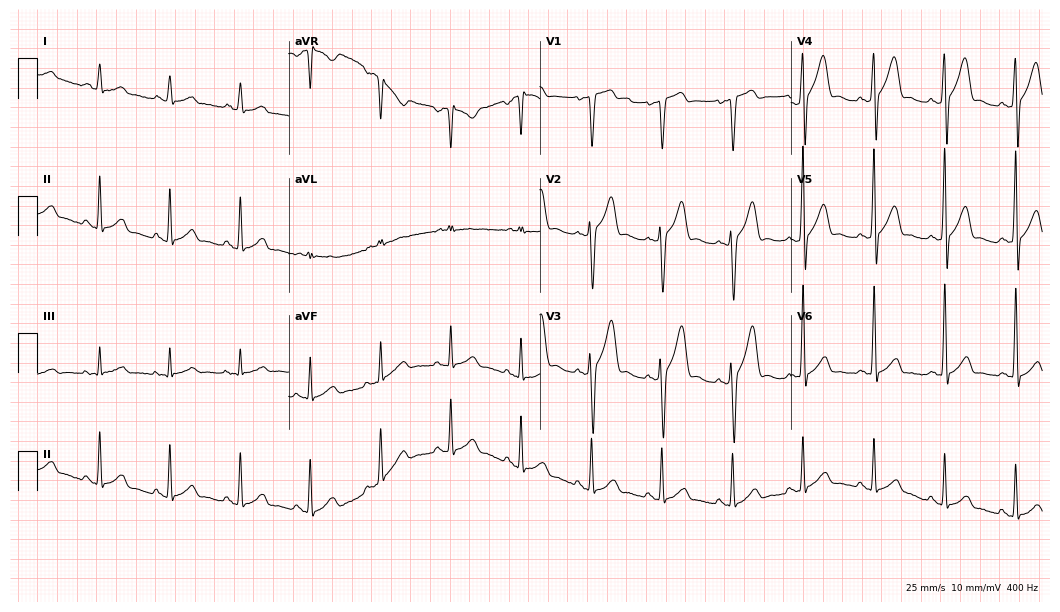
ECG (10.2-second recording at 400 Hz) — a 41-year-old male patient. Labelled as a normal ECG.